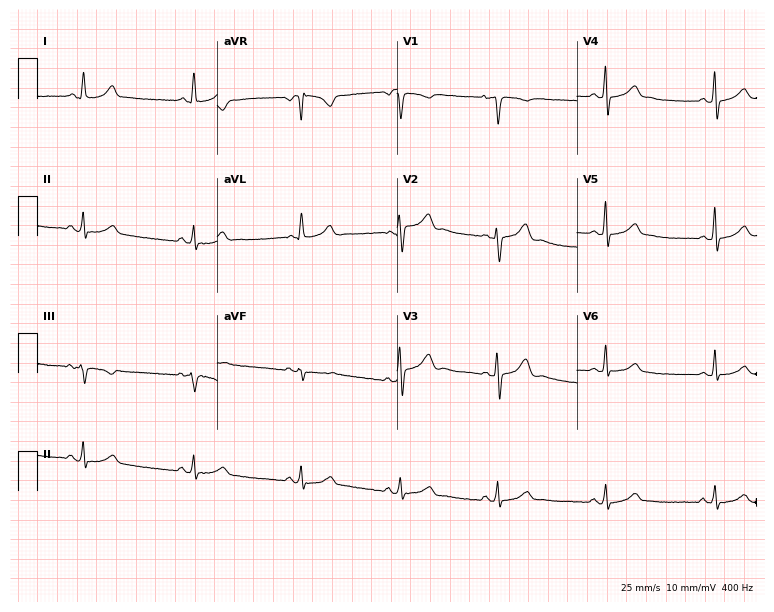
12-lead ECG (7.3-second recording at 400 Hz) from a 32-year-old woman. Screened for six findings — first-degree AV block, right bundle branch block (RBBB), left bundle branch block (LBBB), sinus bradycardia, atrial fibrillation (AF), sinus tachycardia — none is recorded. Other findings, if any, are not listed.